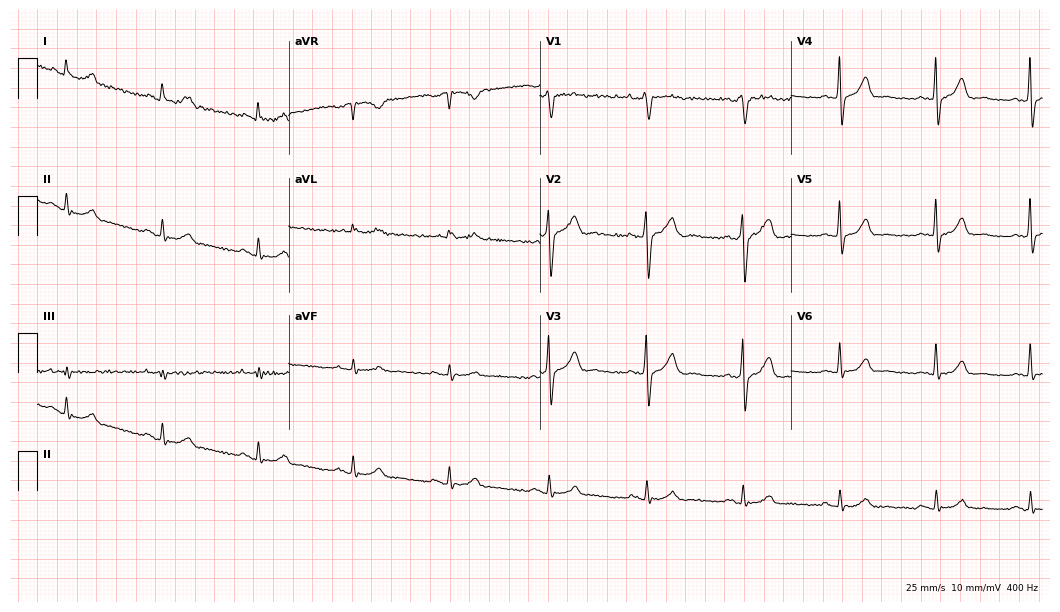
12-lead ECG from a man, 61 years old. Recorded interpretation: within normal limits.